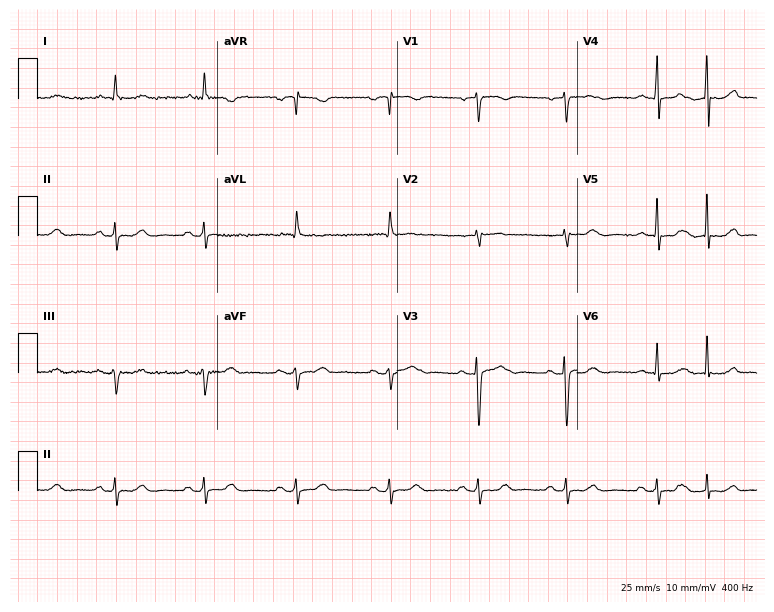
Standard 12-lead ECG recorded from an 82-year-old female patient. None of these six findings is recorded: first-degree AV block, right bundle branch block, left bundle branch block, sinus bradycardia, atrial fibrillation, sinus tachycardia. Findings outside these six are not listed.